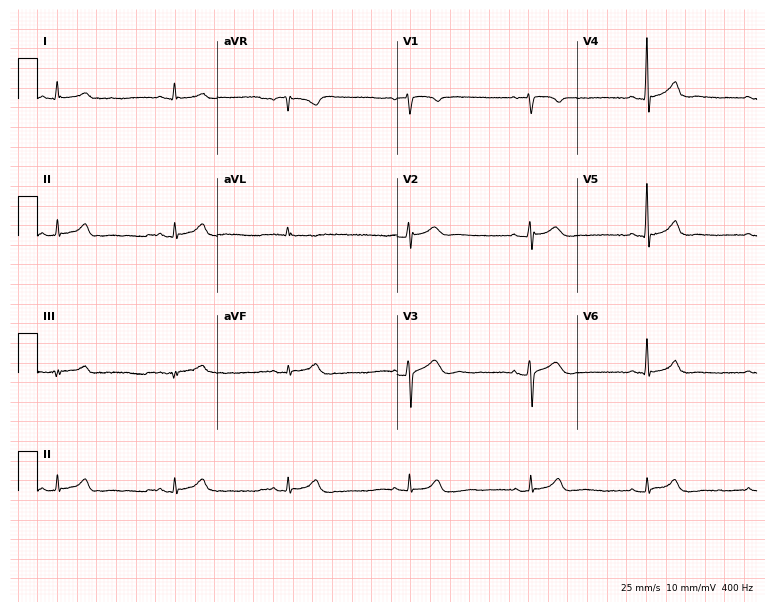
ECG — a 67-year-old male. Labelled as a normal ECG.